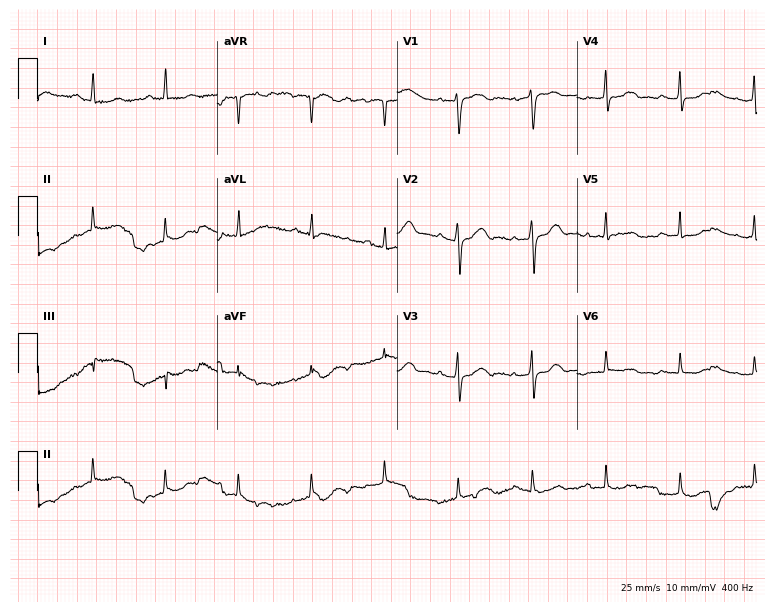
12-lead ECG from a 56-year-old female (7.3-second recording at 400 Hz). No first-degree AV block, right bundle branch block (RBBB), left bundle branch block (LBBB), sinus bradycardia, atrial fibrillation (AF) or sinus tachycardia recorded for this tracing.